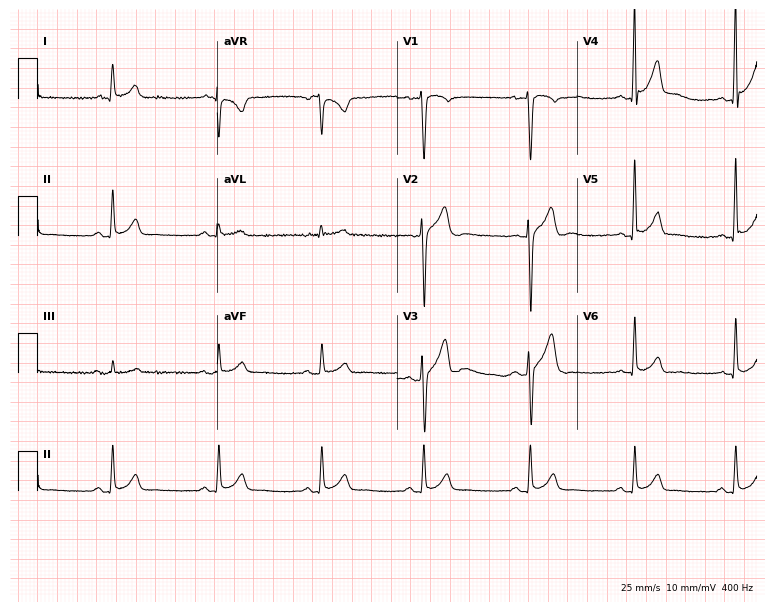
Standard 12-lead ECG recorded from a 30-year-old male. Read as a normal ECG.